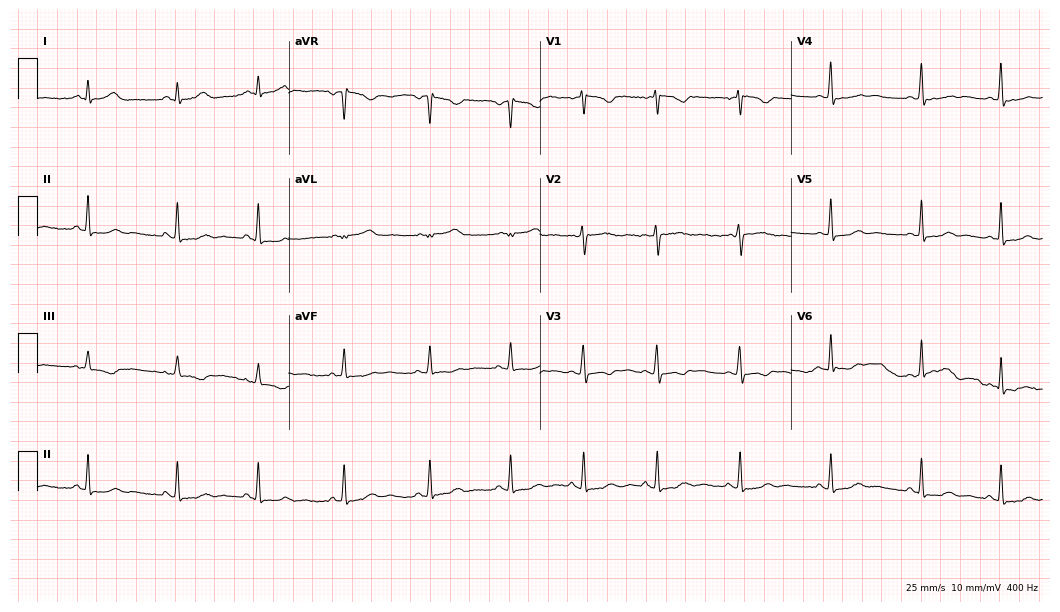
12-lead ECG from a 23-year-old female patient (10.2-second recording at 400 Hz). Recorded interpretation: within normal limits.